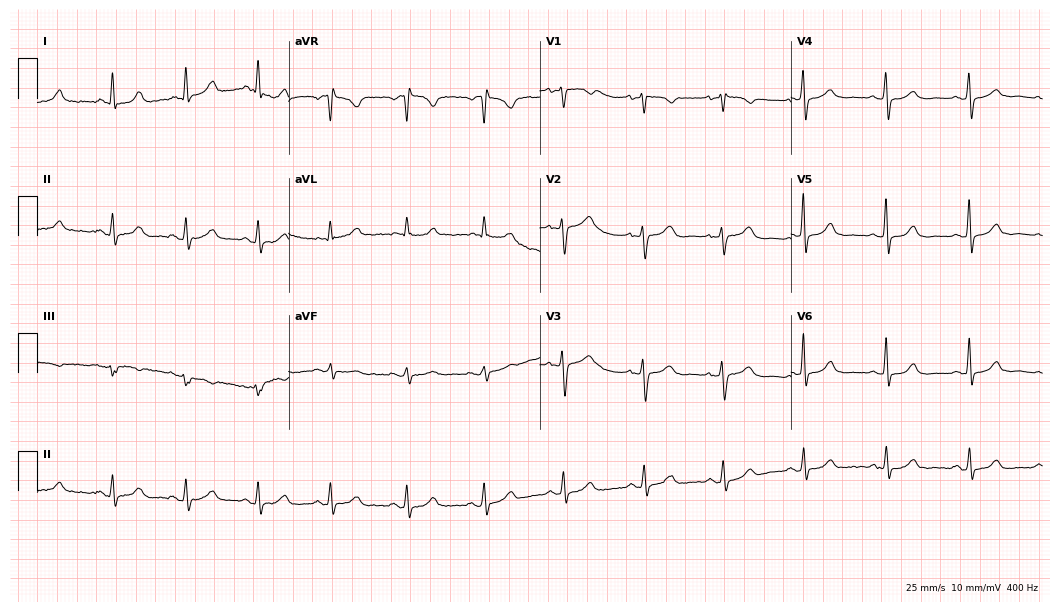
Electrocardiogram, a woman, 66 years old. Overall reading on record: normal ECG.